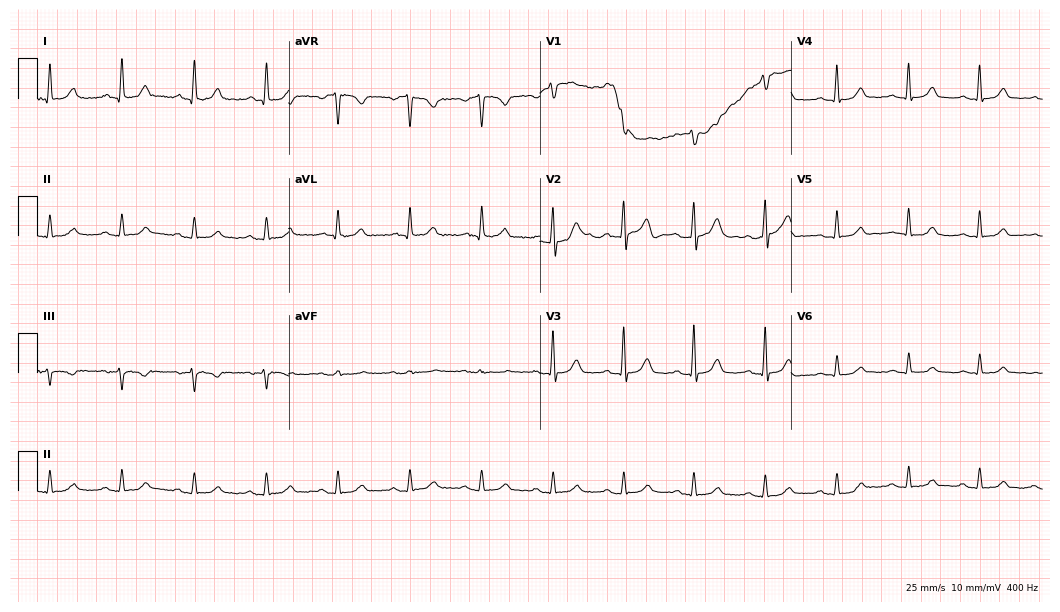
Electrocardiogram (10.2-second recording at 400 Hz), a 56-year-old female. Overall reading on record: normal ECG.